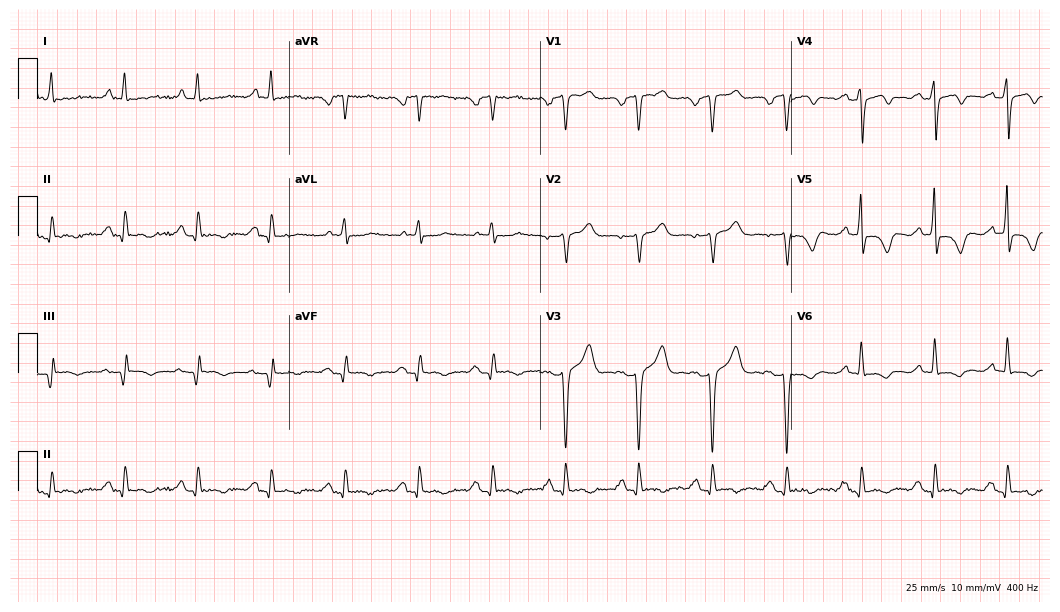
12-lead ECG (10.2-second recording at 400 Hz) from a 60-year-old male patient. Screened for six findings — first-degree AV block, right bundle branch block, left bundle branch block, sinus bradycardia, atrial fibrillation, sinus tachycardia — none is recorded. Only these six findings were labelled.